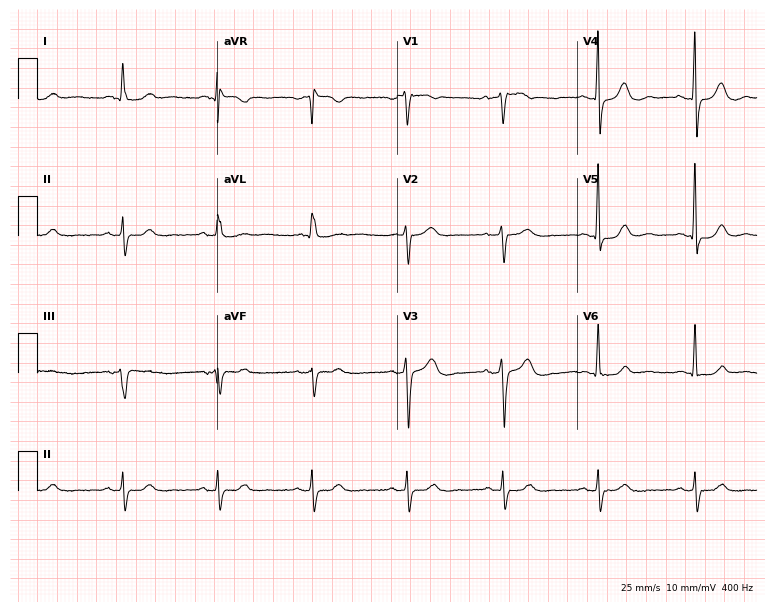
Electrocardiogram, an 83-year-old female. Of the six screened findings (first-degree AV block, right bundle branch block, left bundle branch block, sinus bradycardia, atrial fibrillation, sinus tachycardia), none is recorded. Only these six findings were labelled.